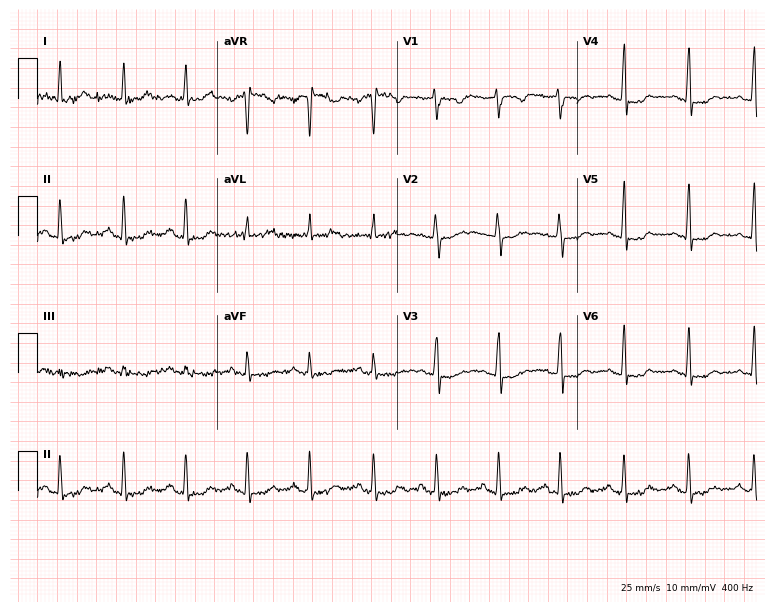
12-lead ECG (7.3-second recording at 400 Hz) from a 39-year-old female. Screened for six findings — first-degree AV block, right bundle branch block, left bundle branch block, sinus bradycardia, atrial fibrillation, sinus tachycardia — none is recorded. Findings outside these six are not listed.